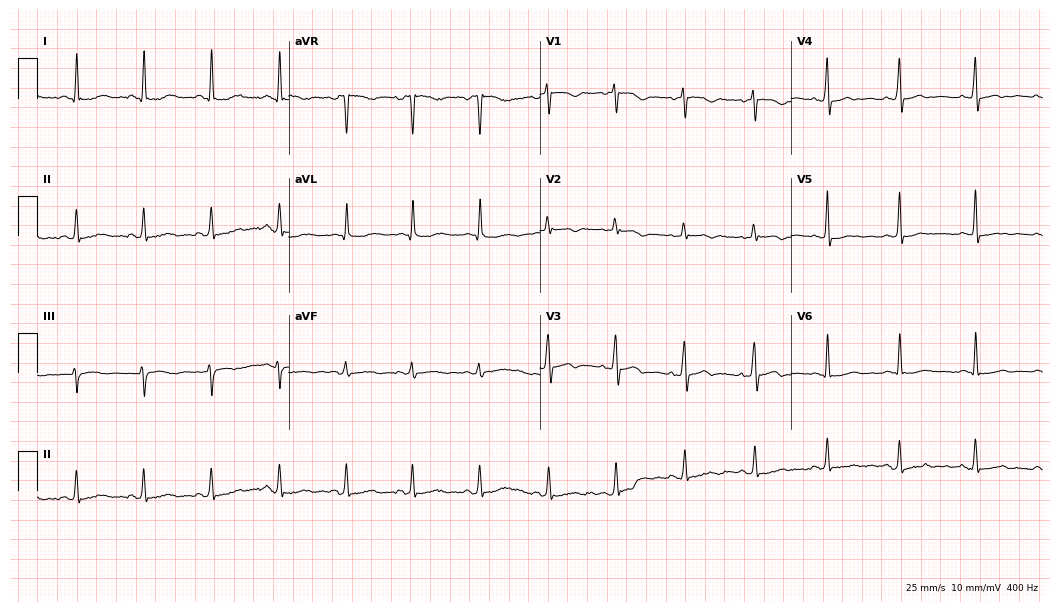
Standard 12-lead ECG recorded from a female, 29 years old. Read as a normal ECG.